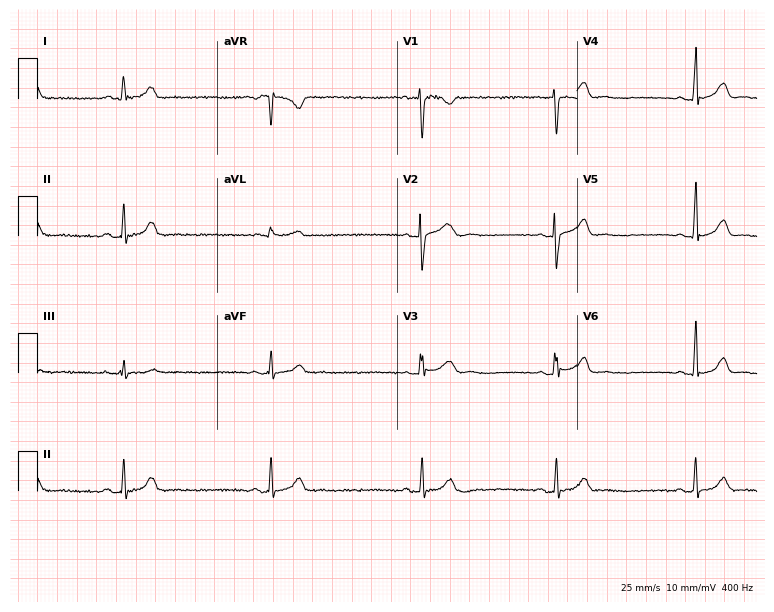
ECG (7.3-second recording at 400 Hz) — a 29-year-old female patient. Findings include sinus bradycardia (a sinus rate of 50 beats per minute or less).